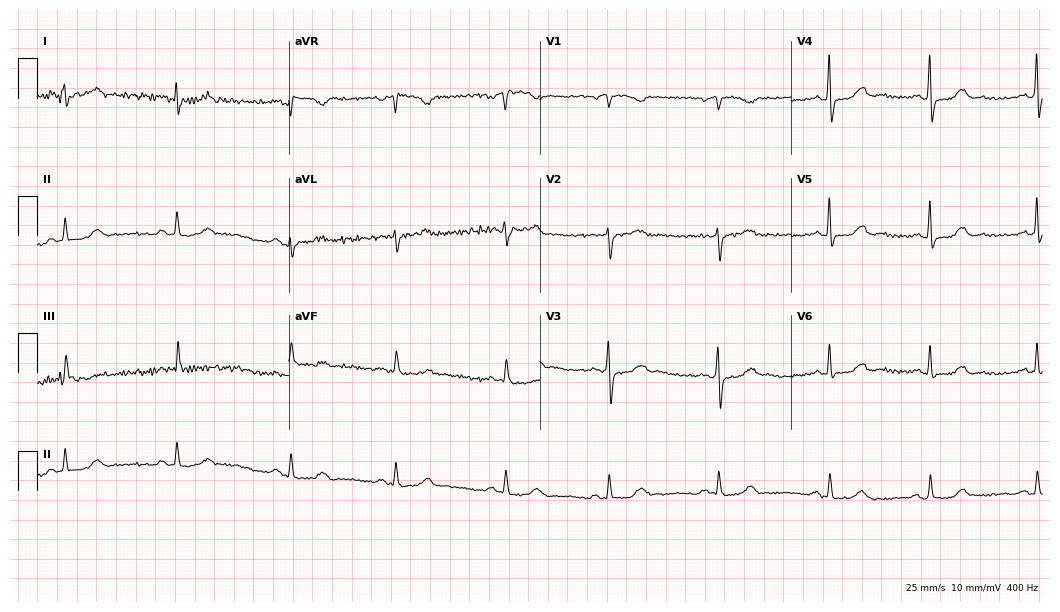
ECG (10.2-second recording at 400 Hz) — a woman, 36 years old. Screened for six findings — first-degree AV block, right bundle branch block, left bundle branch block, sinus bradycardia, atrial fibrillation, sinus tachycardia — none is recorded.